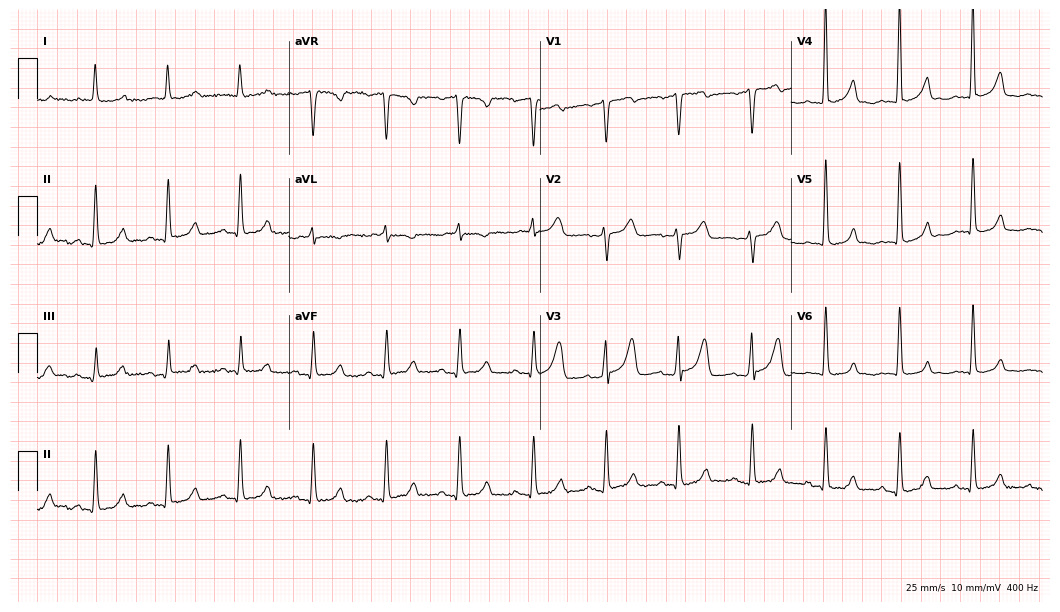
12-lead ECG from a 74-year-old female. Screened for six findings — first-degree AV block, right bundle branch block, left bundle branch block, sinus bradycardia, atrial fibrillation, sinus tachycardia — none is recorded. Other findings, if any, are not listed.